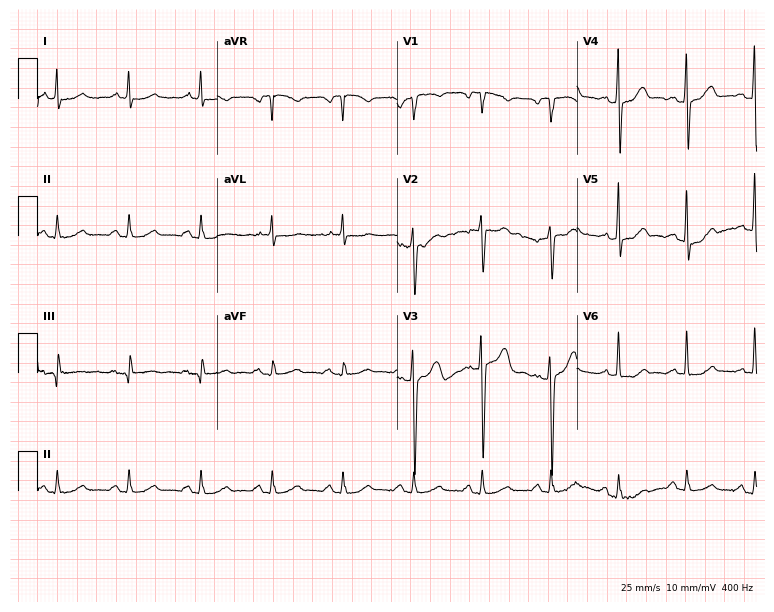
Resting 12-lead electrocardiogram (7.3-second recording at 400 Hz). Patient: a 60-year-old male. None of these six findings is recorded: first-degree AV block, right bundle branch block, left bundle branch block, sinus bradycardia, atrial fibrillation, sinus tachycardia.